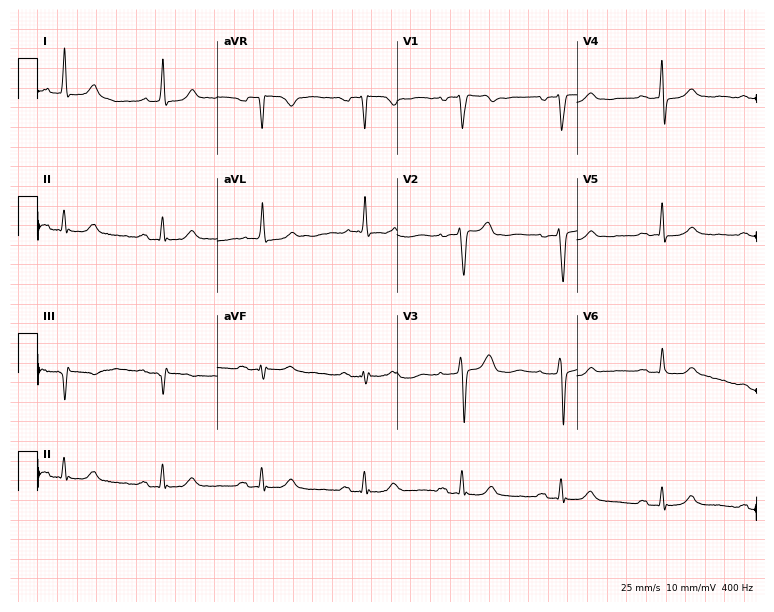
Electrocardiogram, a female, 77 years old. Of the six screened findings (first-degree AV block, right bundle branch block, left bundle branch block, sinus bradycardia, atrial fibrillation, sinus tachycardia), none is recorded. Other findings, if any, are not listed.